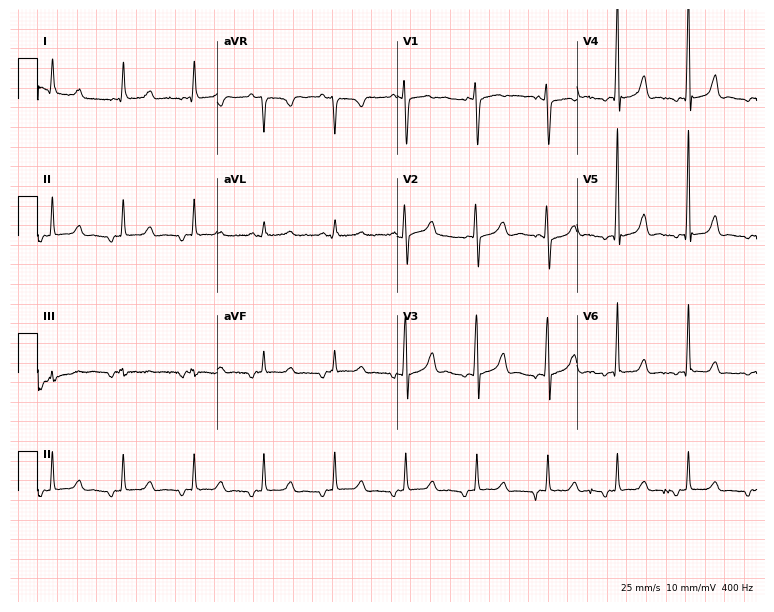
ECG — a woman, 48 years old. Screened for six findings — first-degree AV block, right bundle branch block, left bundle branch block, sinus bradycardia, atrial fibrillation, sinus tachycardia — none is recorded. Other findings, if any, are not listed.